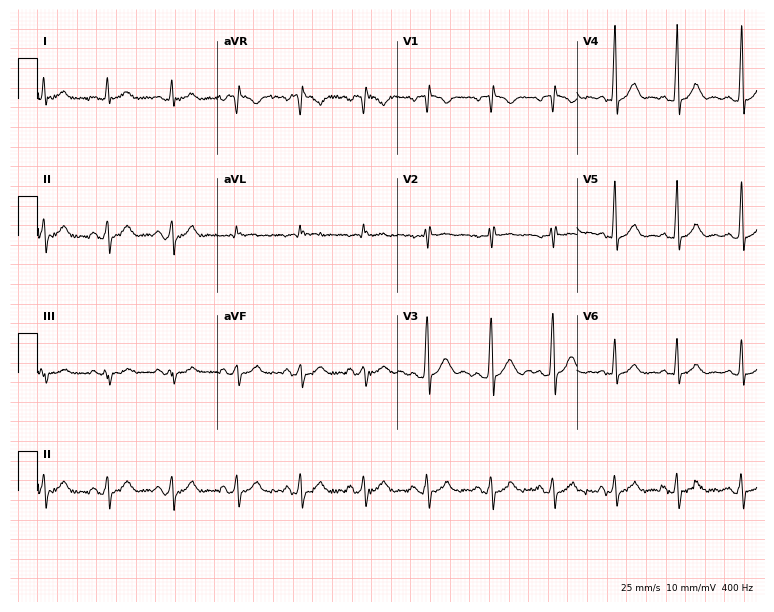
ECG (7.3-second recording at 400 Hz) — a male, 24 years old. Screened for six findings — first-degree AV block, right bundle branch block, left bundle branch block, sinus bradycardia, atrial fibrillation, sinus tachycardia — none is recorded.